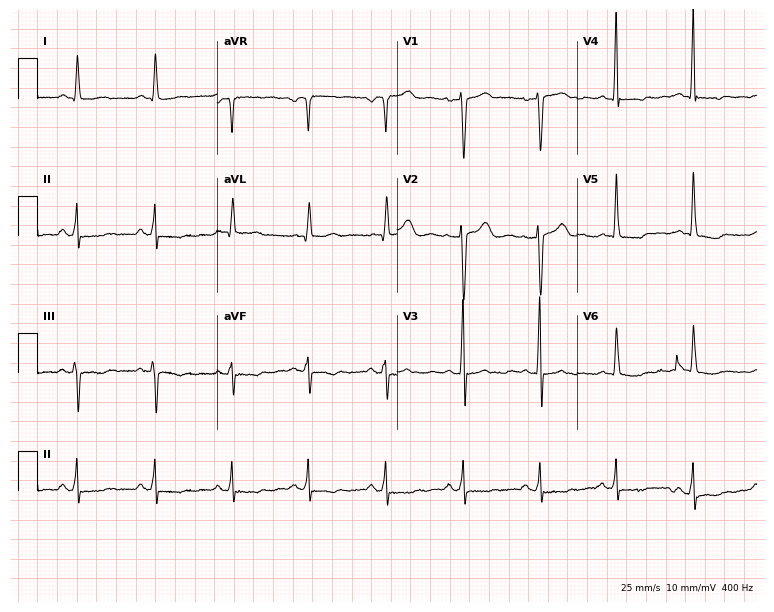
Standard 12-lead ECG recorded from a woman, 44 years old (7.3-second recording at 400 Hz). None of these six findings is recorded: first-degree AV block, right bundle branch block, left bundle branch block, sinus bradycardia, atrial fibrillation, sinus tachycardia.